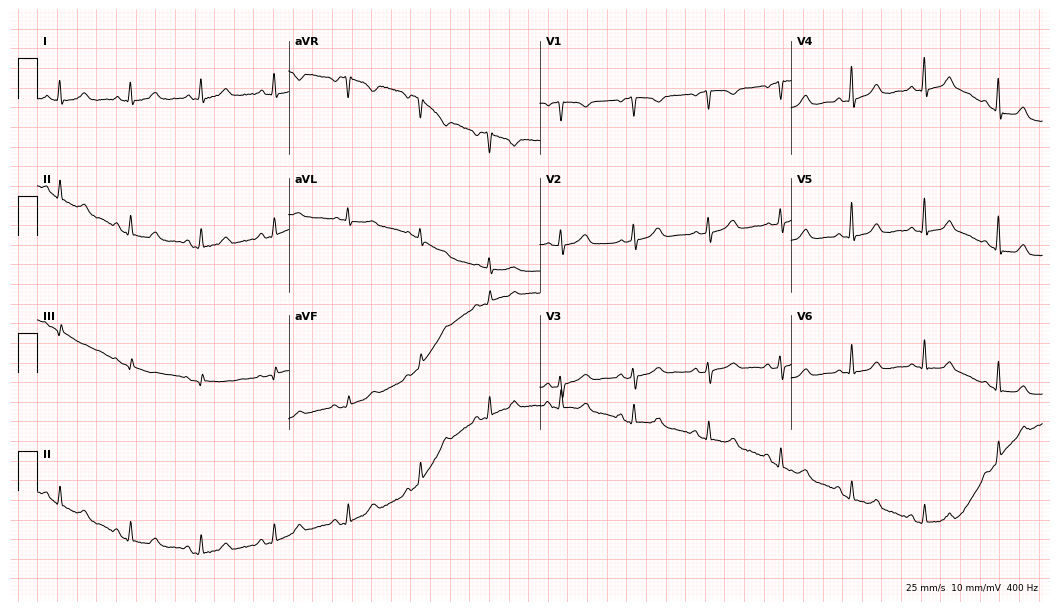
Standard 12-lead ECG recorded from a woman, 51 years old (10.2-second recording at 400 Hz). None of these six findings is recorded: first-degree AV block, right bundle branch block (RBBB), left bundle branch block (LBBB), sinus bradycardia, atrial fibrillation (AF), sinus tachycardia.